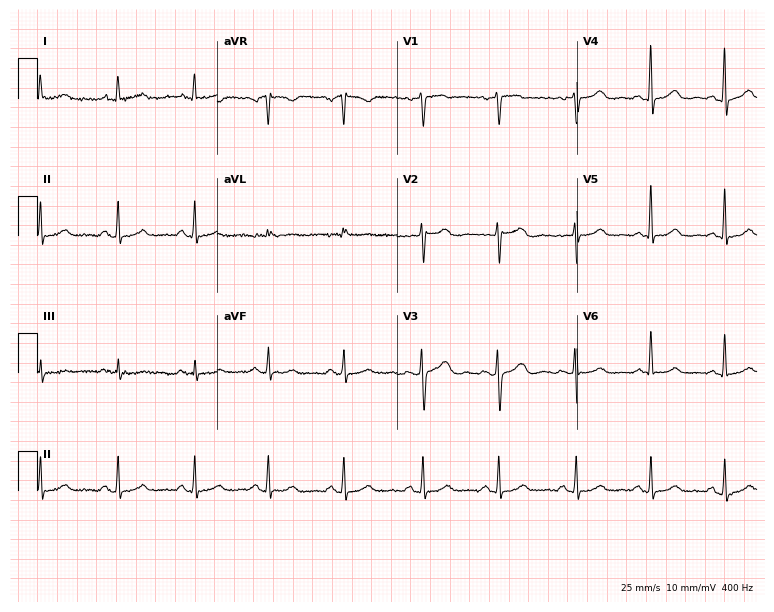
Electrocardiogram, a 55-year-old woman. Overall reading on record: normal ECG.